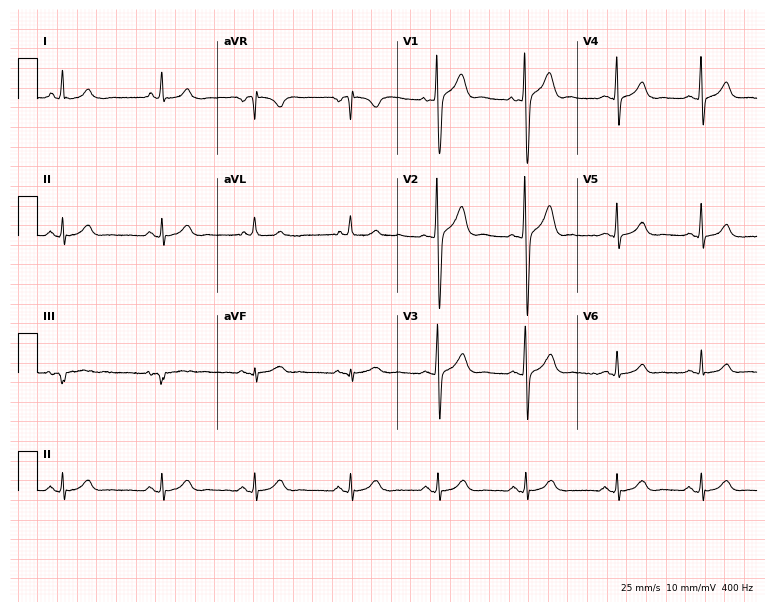
Standard 12-lead ECG recorded from an 18-year-old male. None of these six findings is recorded: first-degree AV block, right bundle branch block, left bundle branch block, sinus bradycardia, atrial fibrillation, sinus tachycardia. Other findings, if any, are not listed.